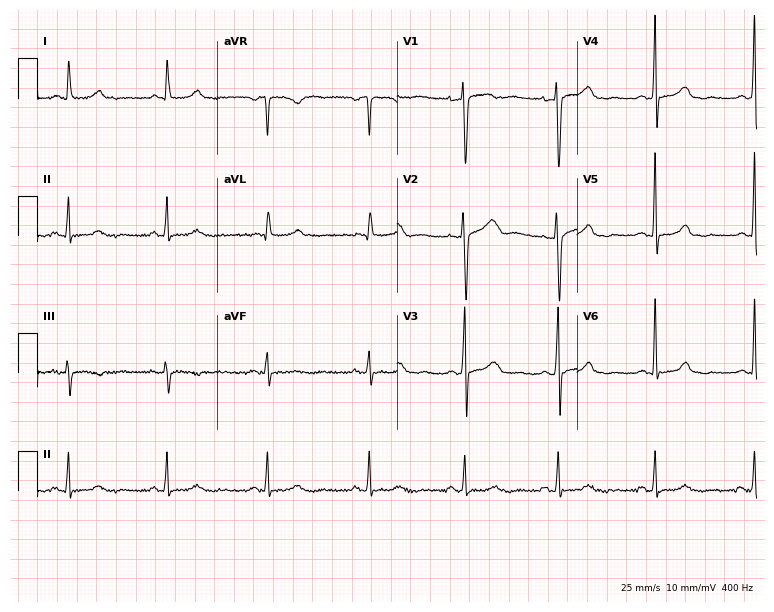
Standard 12-lead ECG recorded from a 37-year-old woman. None of these six findings is recorded: first-degree AV block, right bundle branch block (RBBB), left bundle branch block (LBBB), sinus bradycardia, atrial fibrillation (AF), sinus tachycardia.